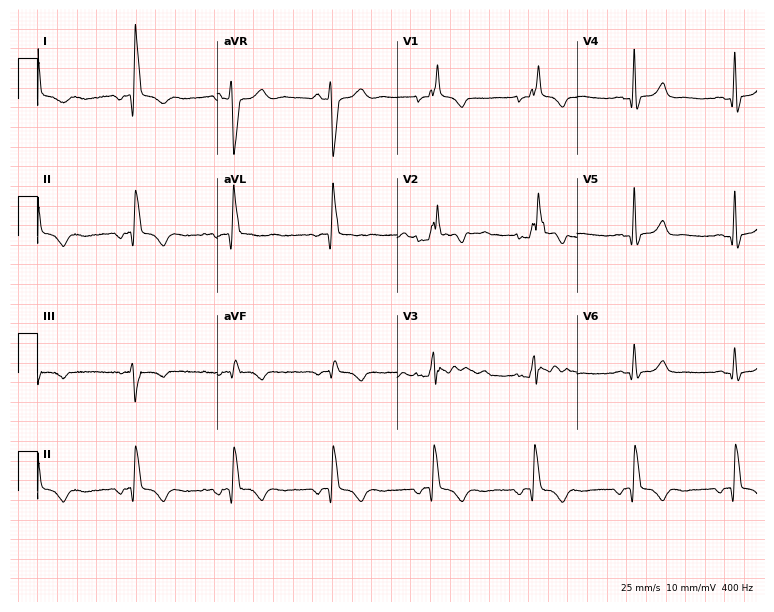
12-lead ECG (7.3-second recording at 400 Hz) from a man, 56 years old. Findings include right bundle branch block (RBBB).